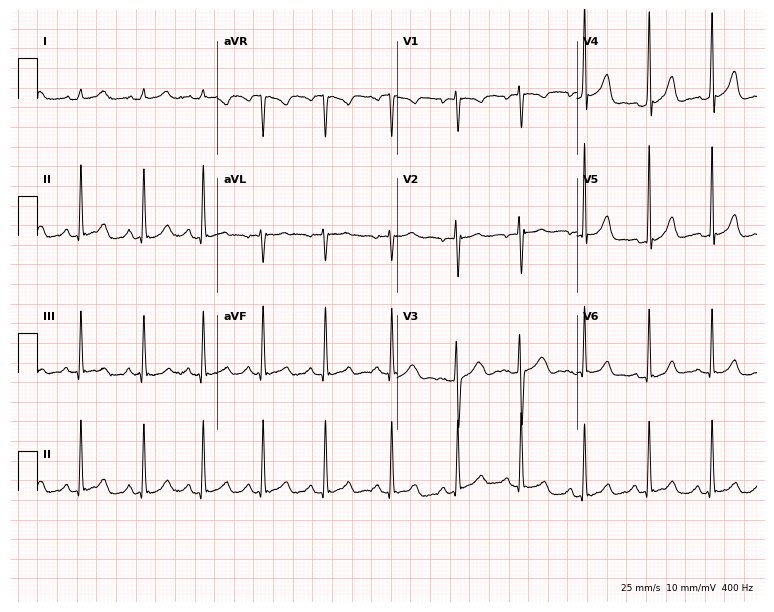
12-lead ECG from a woman, 17 years old (7.3-second recording at 400 Hz). Recorded interpretation: within normal limits.